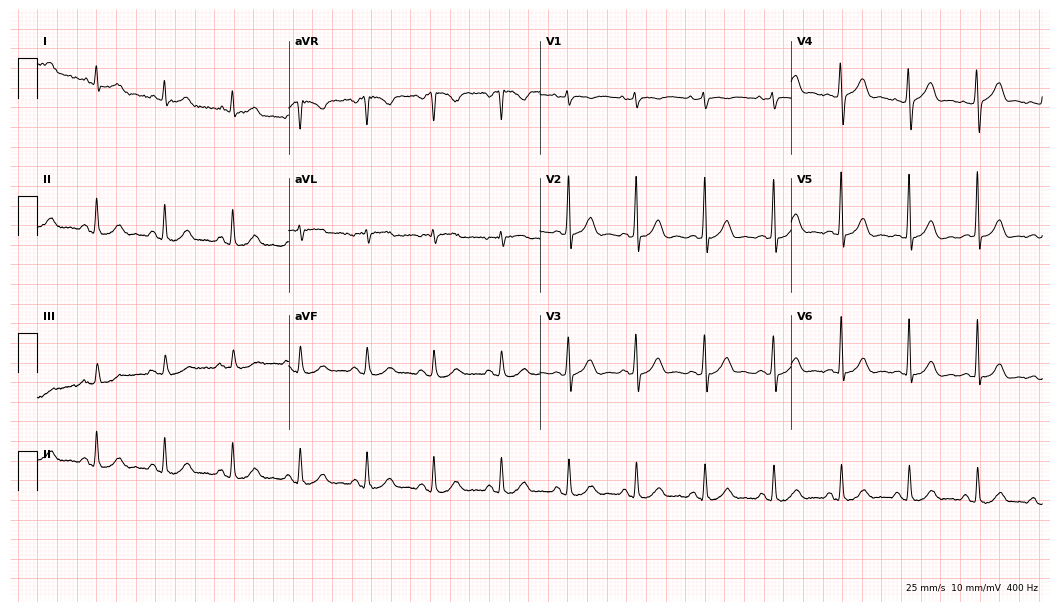
Electrocardiogram, a man, 73 years old. Overall reading on record: normal ECG.